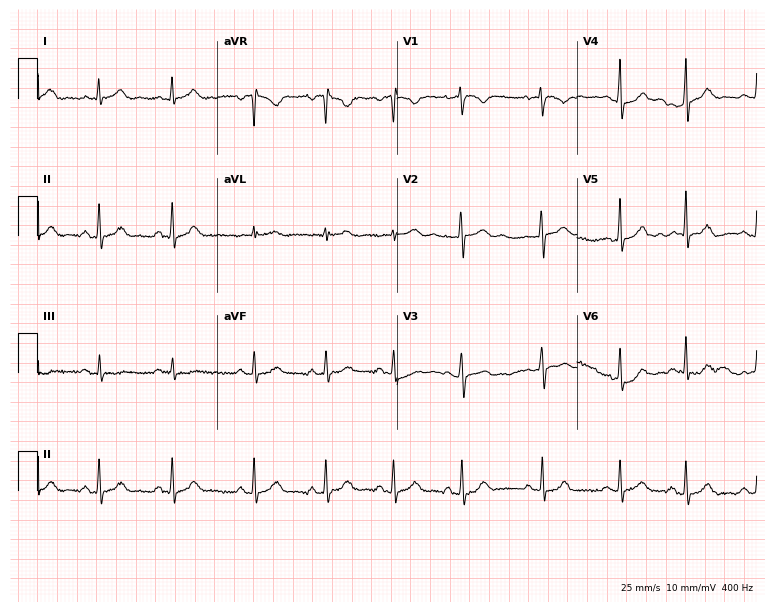
12-lead ECG from a female patient, 21 years old (7.3-second recording at 400 Hz). No first-degree AV block, right bundle branch block, left bundle branch block, sinus bradycardia, atrial fibrillation or sinus tachycardia recorded for this tracing.